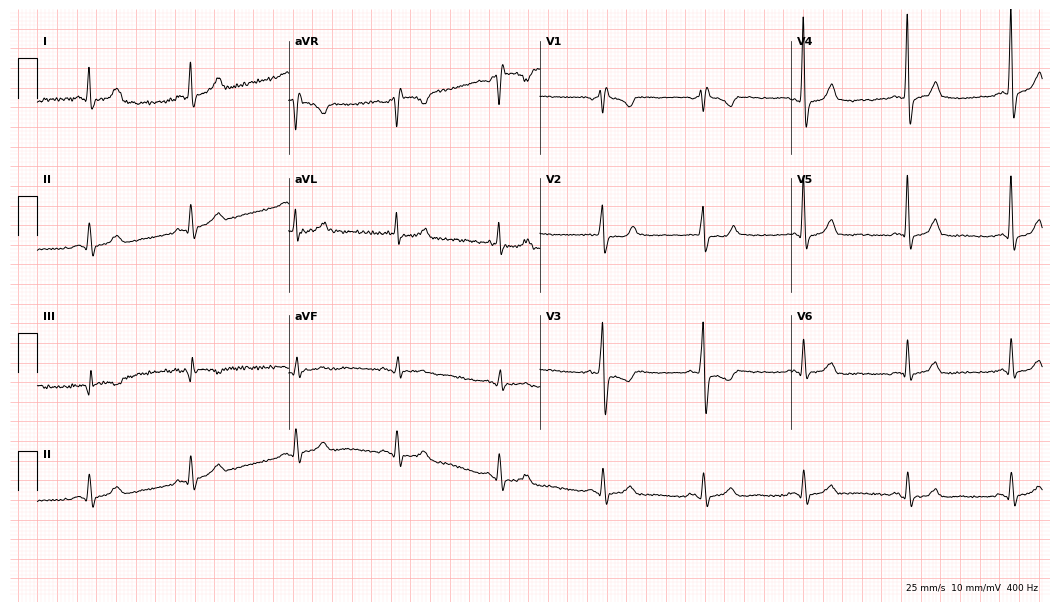
12-lead ECG (10.2-second recording at 400 Hz) from a male patient, 59 years old. Findings include right bundle branch block.